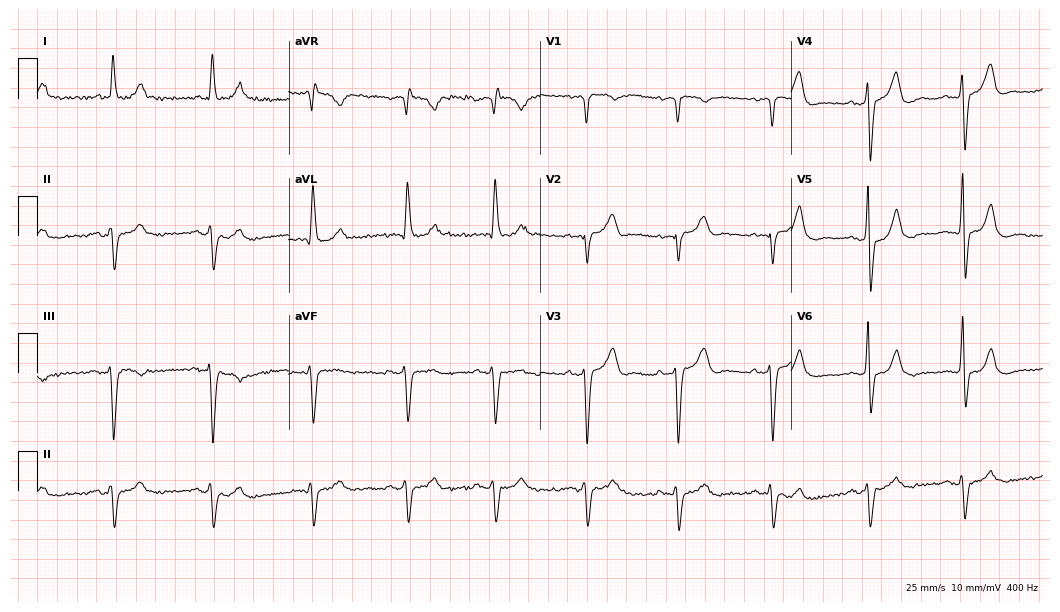
12-lead ECG from a man, 70 years old (10.2-second recording at 400 Hz). No first-degree AV block, right bundle branch block (RBBB), left bundle branch block (LBBB), sinus bradycardia, atrial fibrillation (AF) or sinus tachycardia recorded for this tracing. Findings outside these six are not listed.